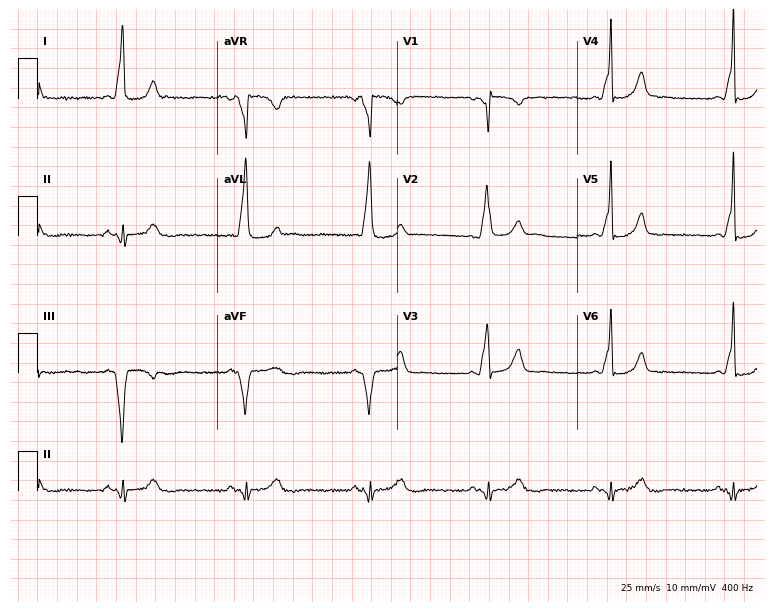
Electrocardiogram (7.3-second recording at 400 Hz), a 36-year-old woman. Of the six screened findings (first-degree AV block, right bundle branch block (RBBB), left bundle branch block (LBBB), sinus bradycardia, atrial fibrillation (AF), sinus tachycardia), none is recorded.